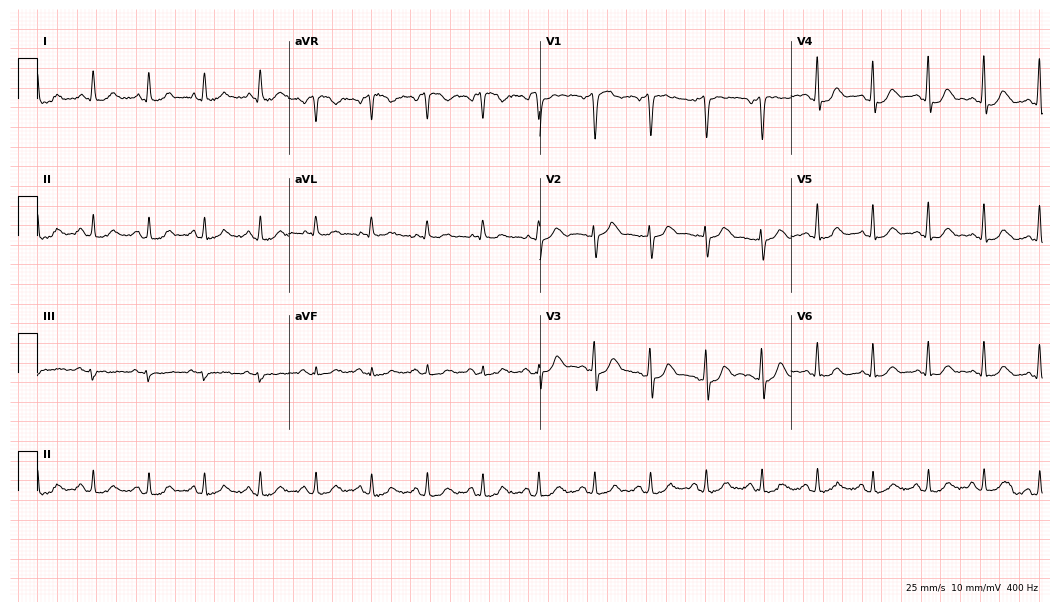
Standard 12-lead ECG recorded from a male patient, 65 years old. The tracing shows sinus tachycardia (a sinus rate of 100 beats per minute or more).